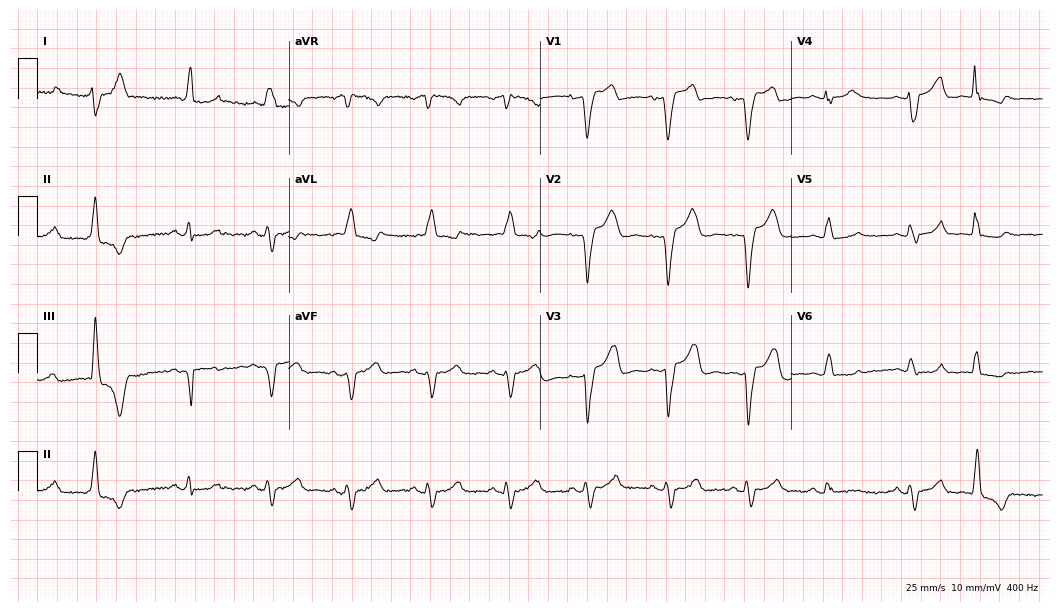
12-lead ECG from a female patient, 85 years old. Shows atrial fibrillation.